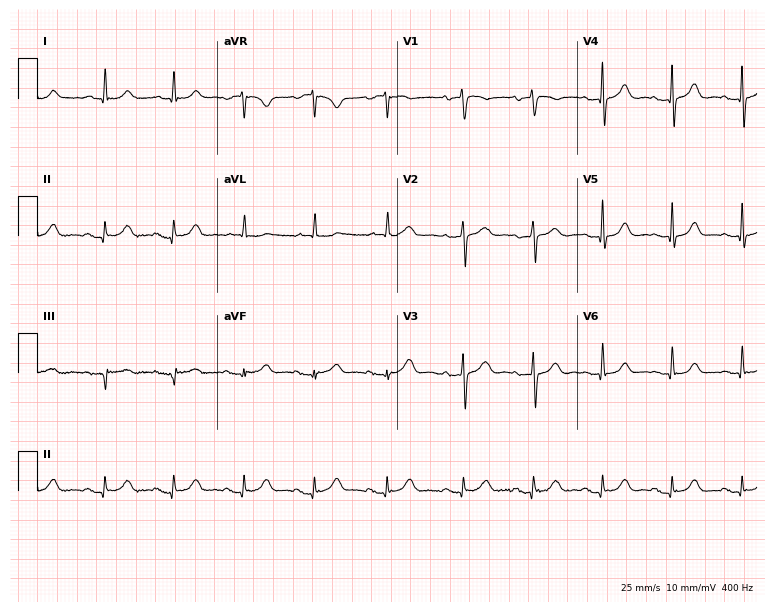
12-lead ECG from a male, 70 years old (7.3-second recording at 400 Hz). Recorded interpretation: within normal limits.